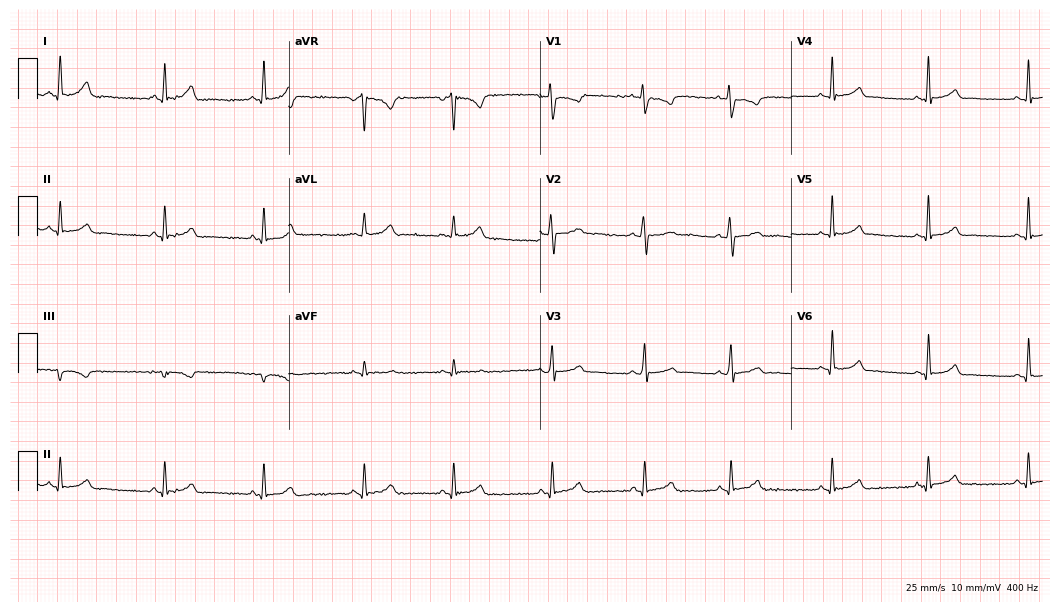
Electrocardiogram (10.2-second recording at 400 Hz), a 31-year-old woman. Overall reading on record: normal ECG.